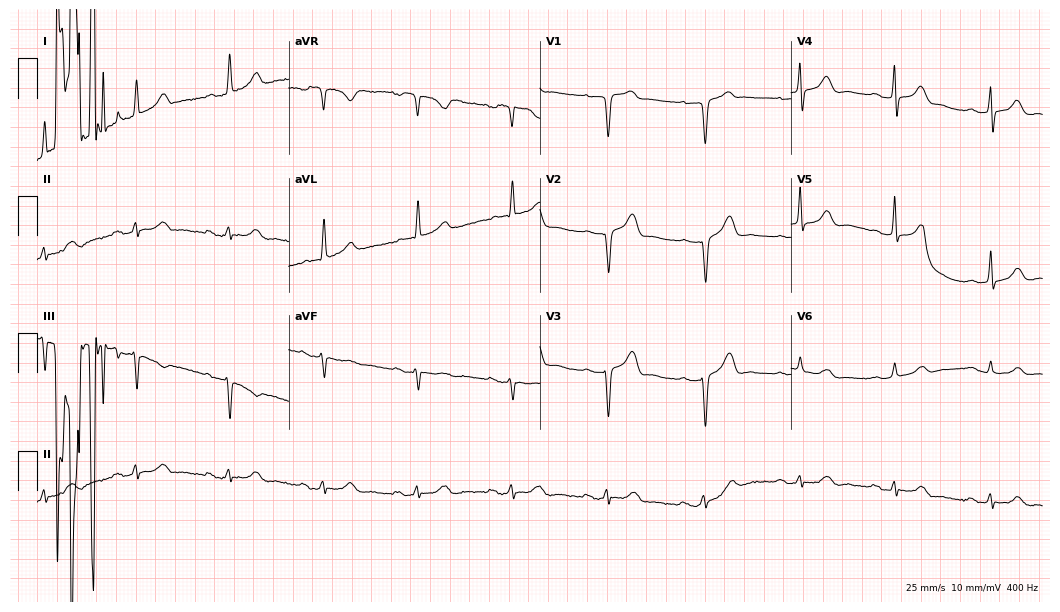
Electrocardiogram, an 80-year-old man. Of the six screened findings (first-degree AV block, right bundle branch block (RBBB), left bundle branch block (LBBB), sinus bradycardia, atrial fibrillation (AF), sinus tachycardia), none is recorded. Other findings, if any, are not listed.